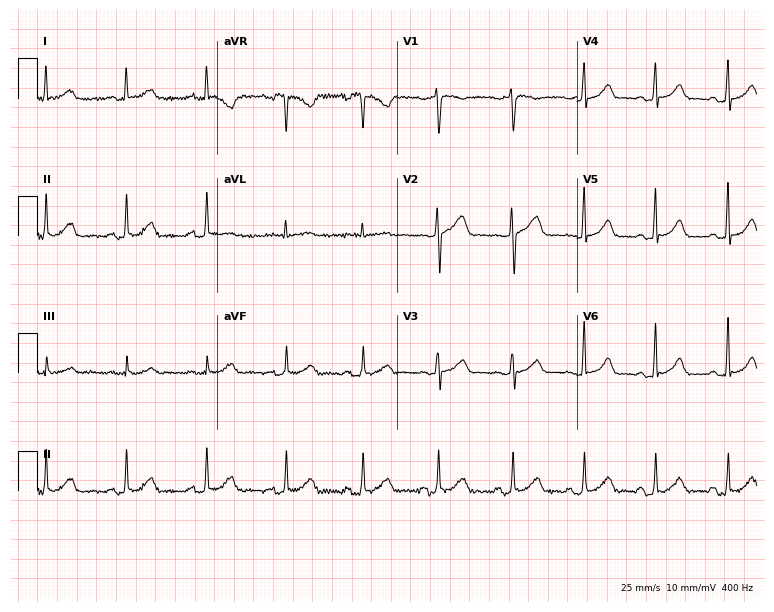
12-lead ECG from a 44-year-old female. Labelled as a normal ECG.